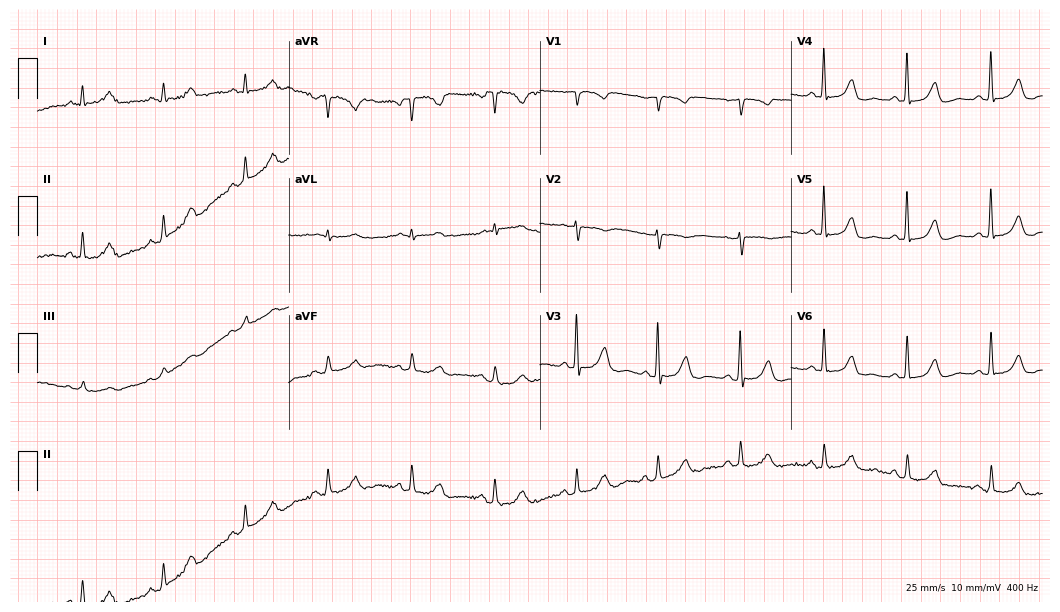
Standard 12-lead ECG recorded from a 79-year-old woman (10.2-second recording at 400 Hz). None of these six findings is recorded: first-degree AV block, right bundle branch block, left bundle branch block, sinus bradycardia, atrial fibrillation, sinus tachycardia. Other findings, if any, are not listed.